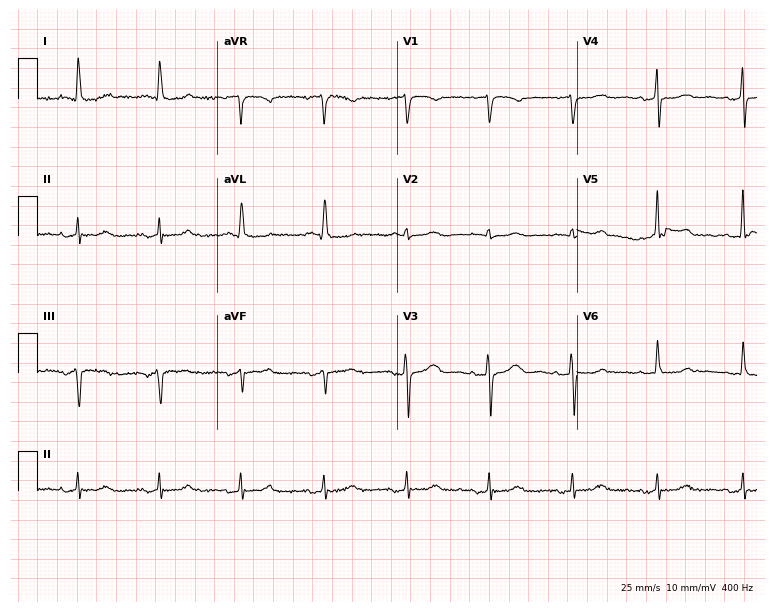
Standard 12-lead ECG recorded from a 77-year-old woman. None of these six findings is recorded: first-degree AV block, right bundle branch block (RBBB), left bundle branch block (LBBB), sinus bradycardia, atrial fibrillation (AF), sinus tachycardia.